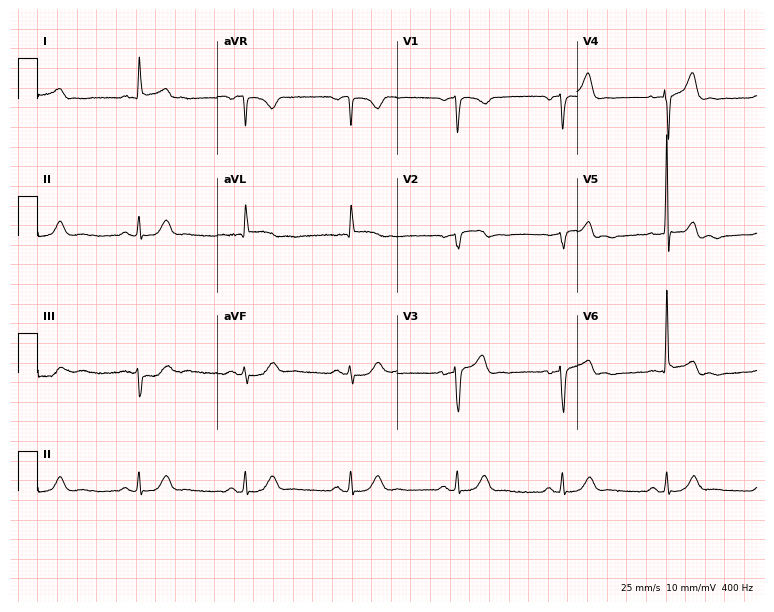
12-lead ECG (7.3-second recording at 400 Hz) from a male, 69 years old. Screened for six findings — first-degree AV block, right bundle branch block, left bundle branch block, sinus bradycardia, atrial fibrillation, sinus tachycardia — none is recorded. Other findings, if any, are not listed.